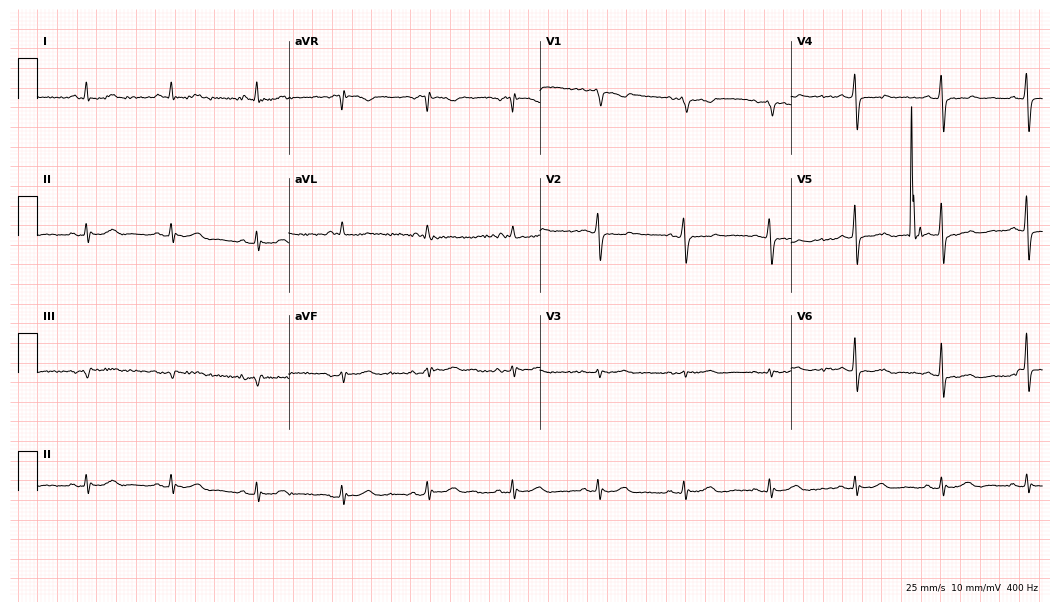
Standard 12-lead ECG recorded from a female patient, 80 years old (10.2-second recording at 400 Hz). None of these six findings is recorded: first-degree AV block, right bundle branch block, left bundle branch block, sinus bradycardia, atrial fibrillation, sinus tachycardia. Findings outside these six are not listed.